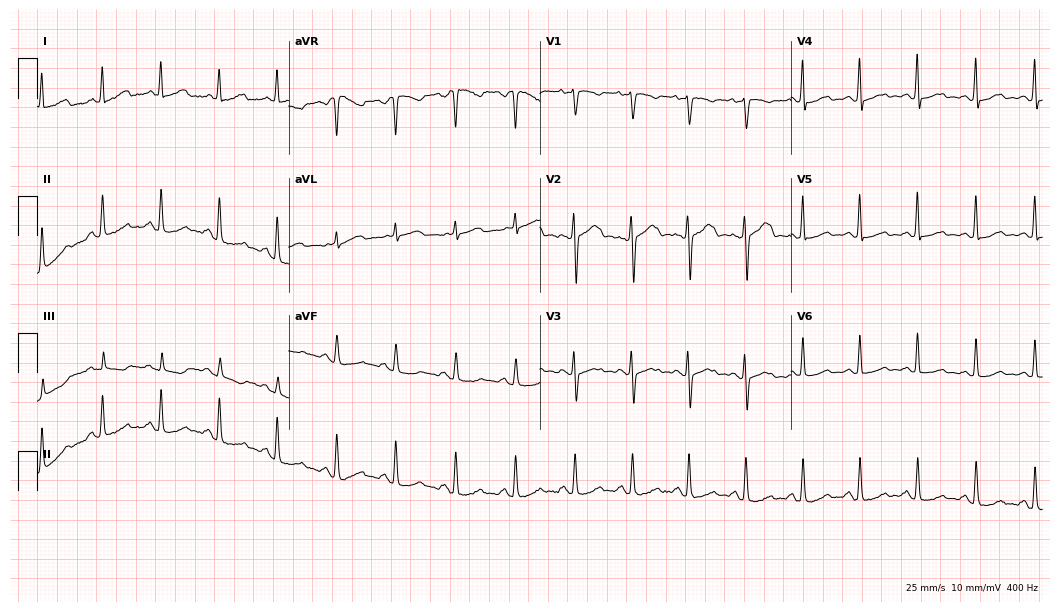
Electrocardiogram (10.2-second recording at 400 Hz), a 60-year-old female. Of the six screened findings (first-degree AV block, right bundle branch block, left bundle branch block, sinus bradycardia, atrial fibrillation, sinus tachycardia), none is recorded.